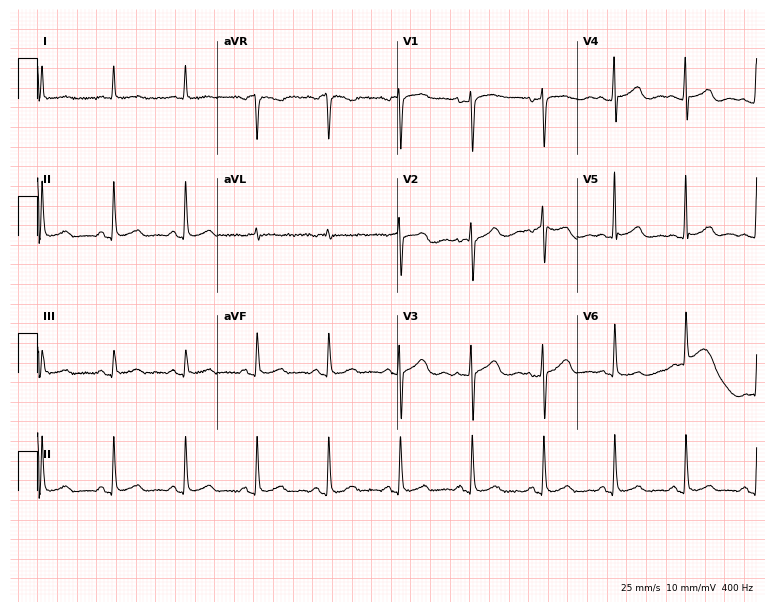
12-lead ECG from a 61-year-old female (7.3-second recording at 400 Hz). Recorded interpretation: within normal limits.